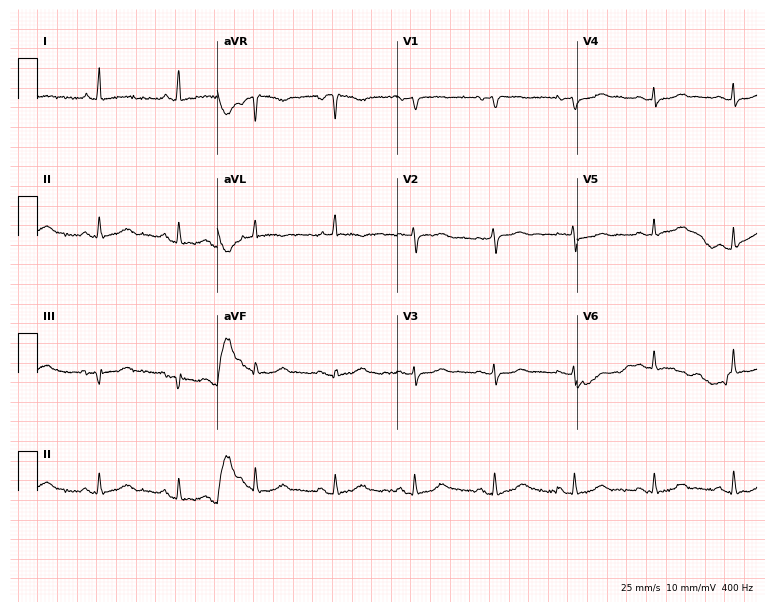
Resting 12-lead electrocardiogram. Patient: an 81-year-old woman. None of these six findings is recorded: first-degree AV block, right bundle branch block, left bundle branch block, sinus bradycardia, atrial fibrillation, sinus tachycardia. Findings outside these six are not listed.